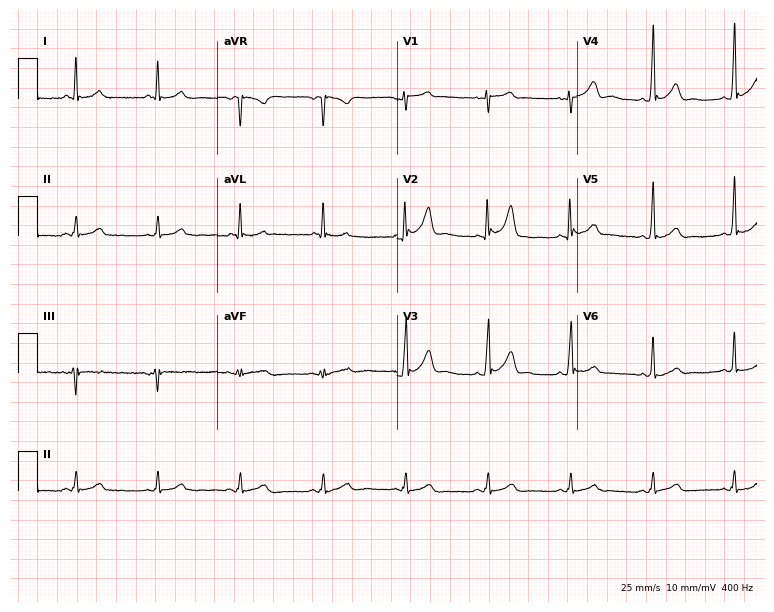
12-lead ECG from a male patient, 44 years old (7.3-second recording at 400 Hz). Recorded interpretation: within normal limits.